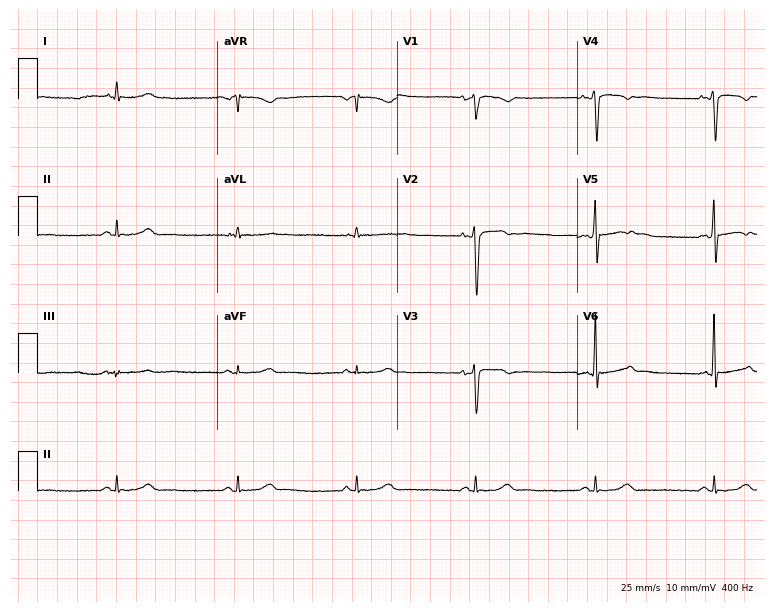
Resting 12-lead electrocardiogram. Patient: a male, 43 years old. The tracing shows sinus bradycardia (a sinus rate of 50 beats per minute or less).